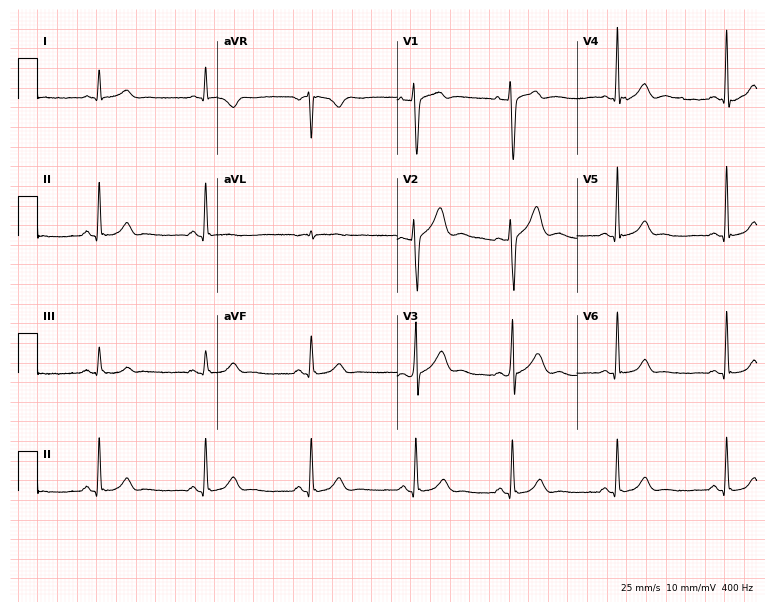
Resting 12-lead electrocardiogram (7.3-second recording at 400 Hz). Patient: a 33-year-old male. None of these six findings is recorded: first-degree AV block, right bundle branch block (RBBB), left bundle branch block (LBBB), sinus bradycardia, atrial fibrillation (AF), sinus tachycardia.